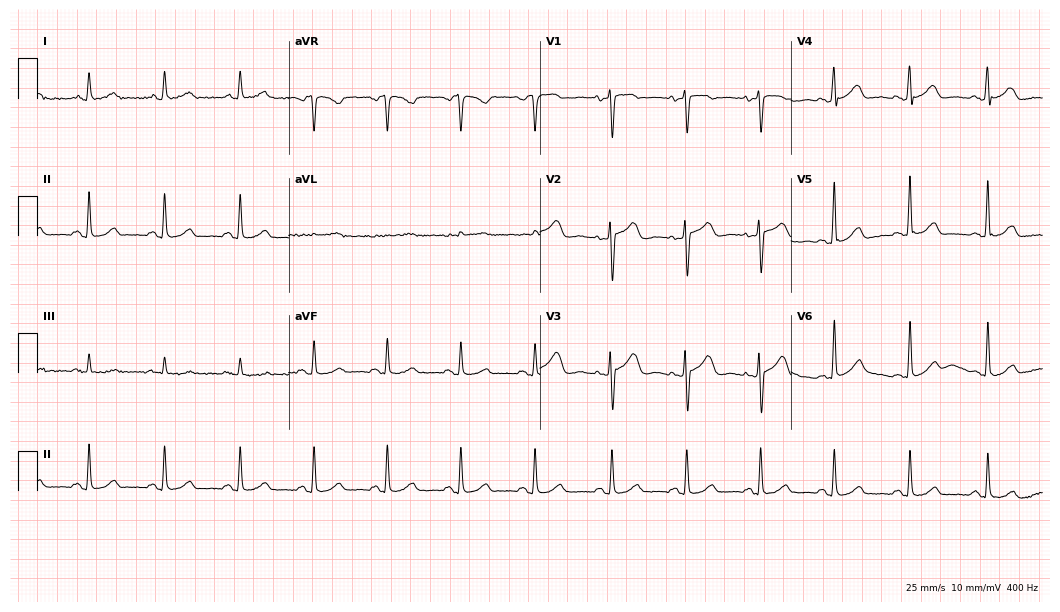
12-lead ECG from a 51-year-old female. Labelled as a normal ECG.